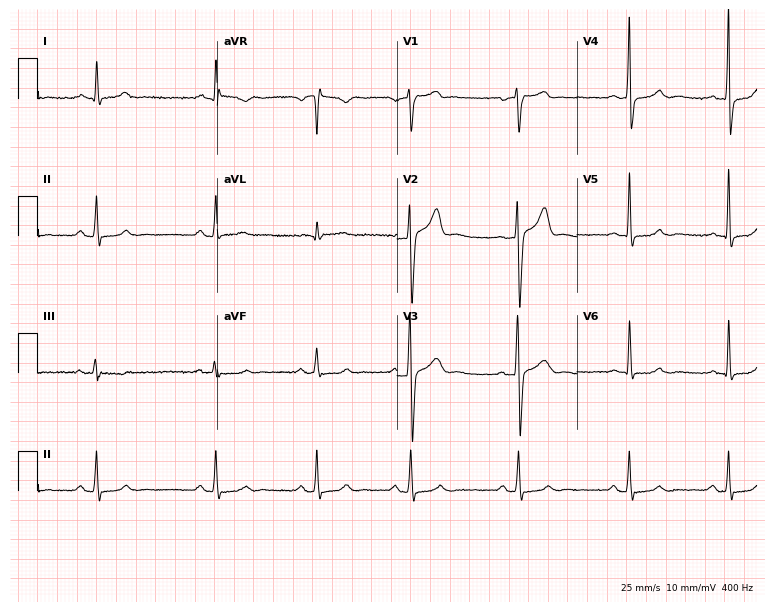
12-lead ECG from a male, 33 years old (7.3-second recording at 400 Hz). No first-degree AV block, right bundle branch block, left bundle branch block, sinus bradycardia, atrial fibrillation or sinus tachycardia recorded for this tracing.